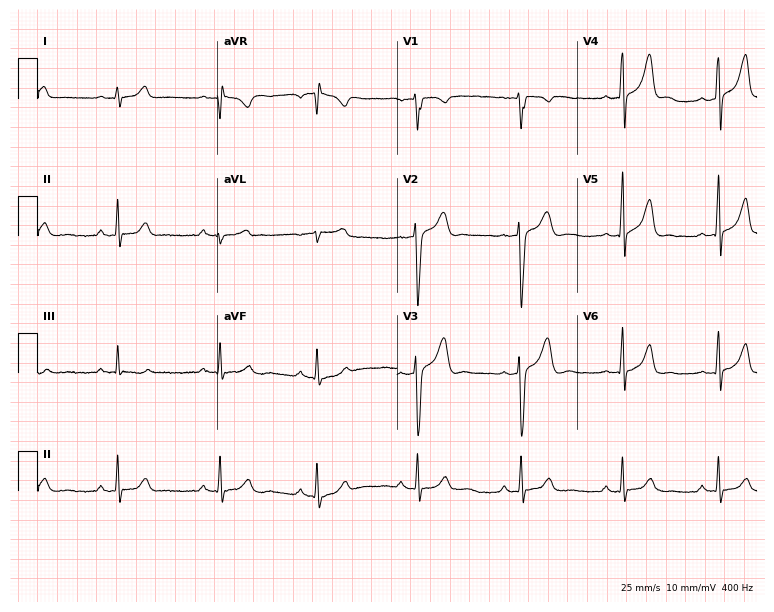
12-lead ECG from a man, 30 years old. No first-degree AV block, right bundle branch block (RBBB), left bundle branch block (LBBB), sinus bradycardia, atrial fibrillation (AF) or sinus tachycardia recorded for this tracing. Other findings, if any, are not listed.